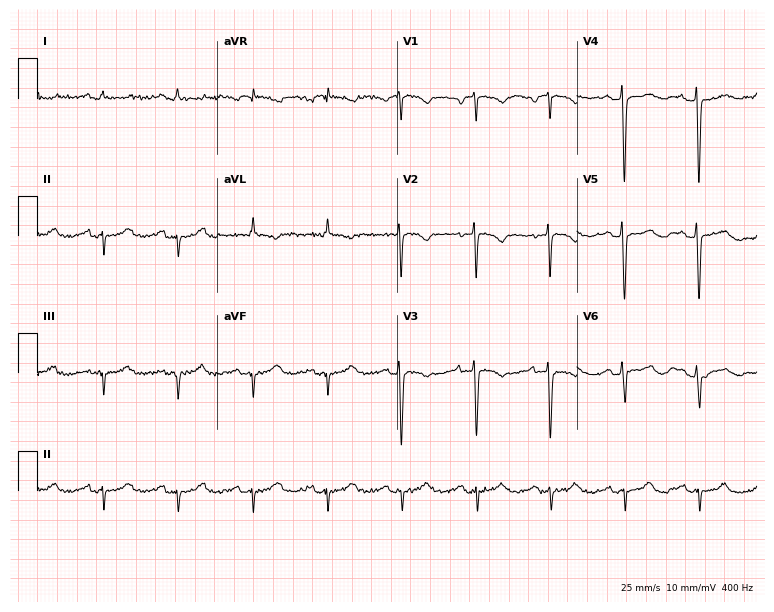
Electrocardiogram, an 80-year-old female patient. Of the six screened findings (first-degree AV block, right bundle branch block, left bundle branch block, sinus bradycardia, atrial fibrillation, sinus tachycardia), none is recorded. Findings outside these six are not listed.